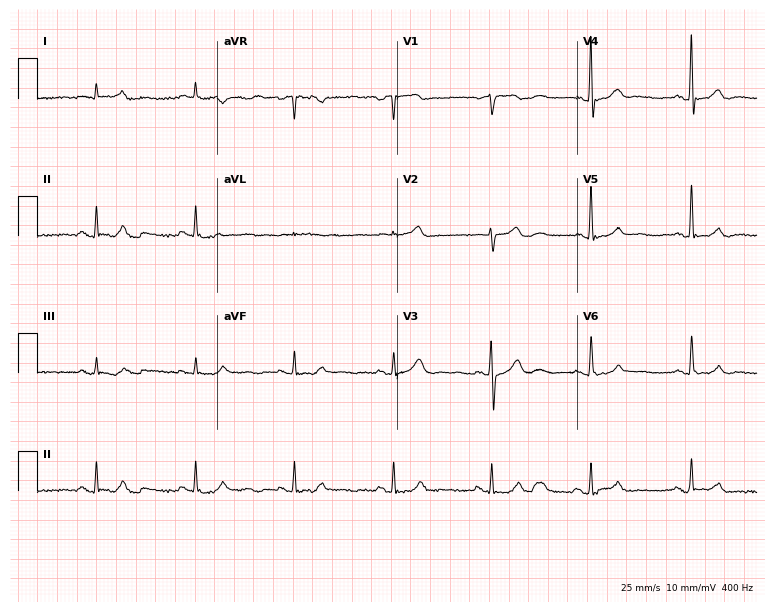
12-lead ECG from a man, 56 years old. Recorded interpretation: within normal limits.